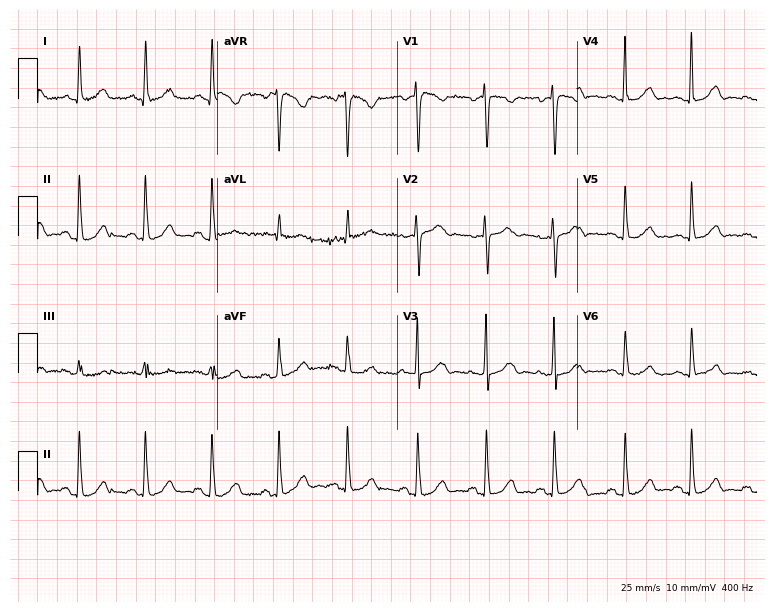
Standard 12-lead ECG recorded from a 57-year-old female patient. None of these six findings is recorded: first-degree AV block, right bundle branch block, left bundle branch block, sinus bradycardia, atrial fibrillation, sinus tachycardia. Findings outside these six are not listed.